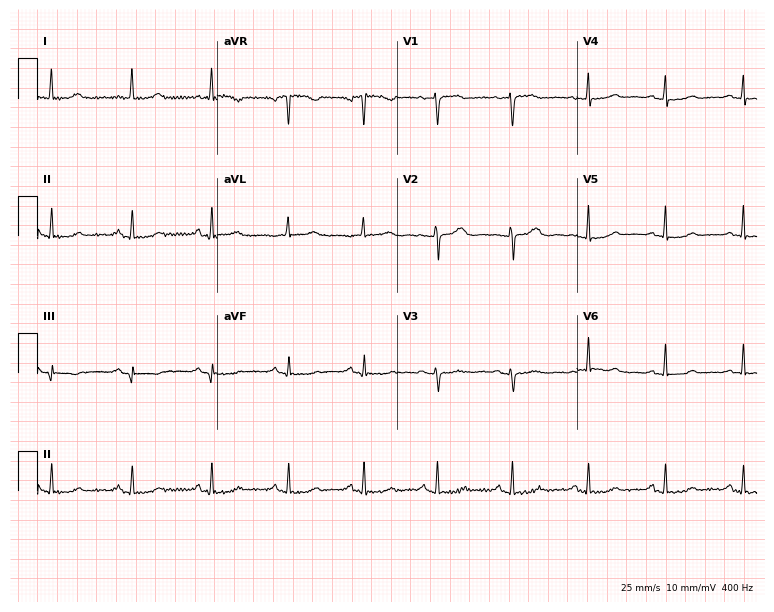
12-lead ECG from a woman, 64 years old. No first-degree AV block, right bundle branch block, left bundle branch block, sinus bradycardia, atrial fibrillation or sinus tachycardia recorded for this tracing.